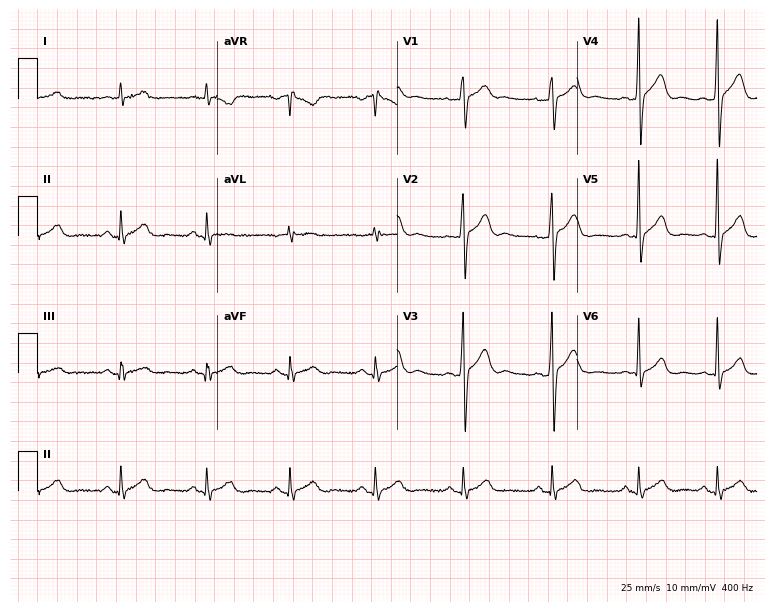
12-lead ECG (7.3-second recording at 400 Hz) from a 30-year-old woman. Labelled as a normal ECG.